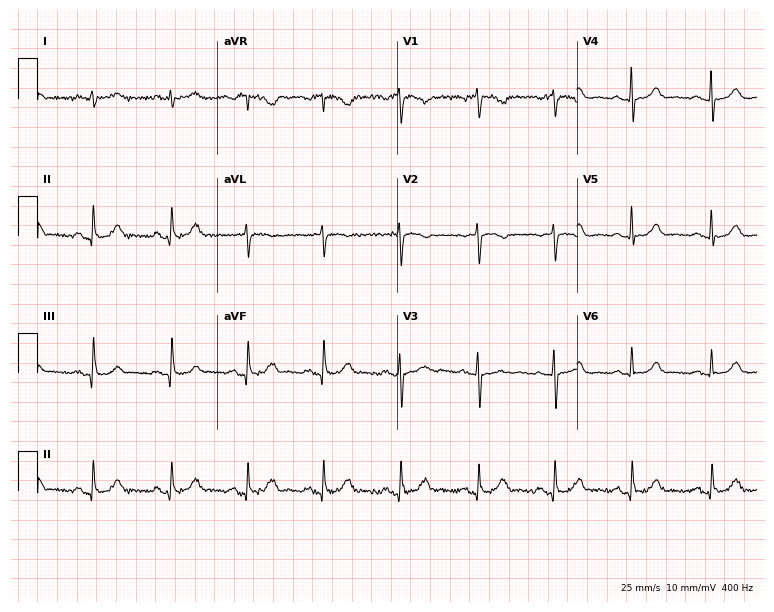
12-lead ECG from a woman, 72 years old (7.3-second recording at 400 Hz). Recorded interpretation: within normal limits.